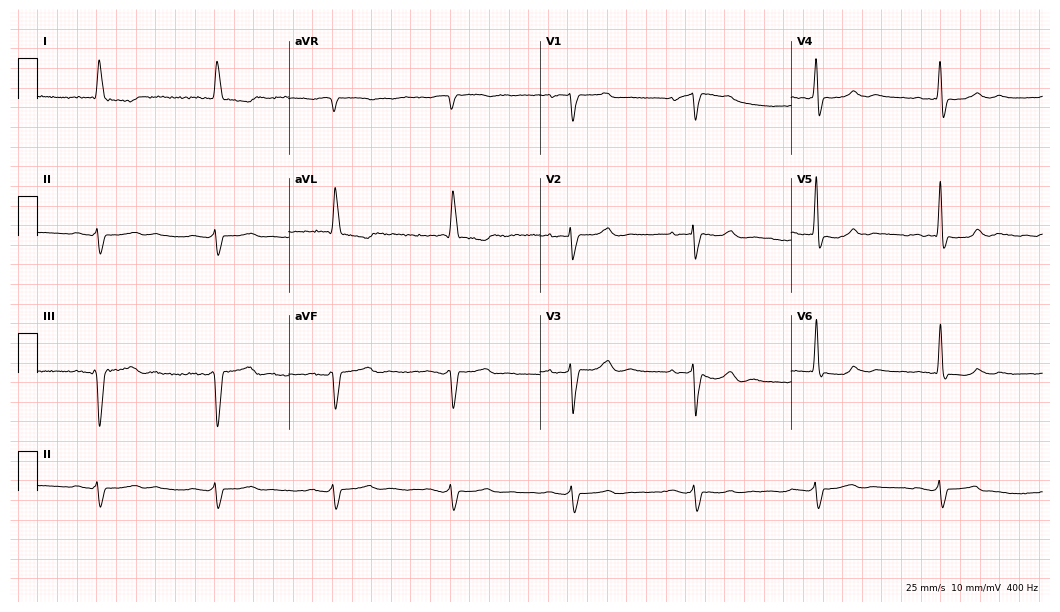
12-lead ECG from a 68-year-old female (10.2-second recording at 400 Hz). Shows right bundle branch block.